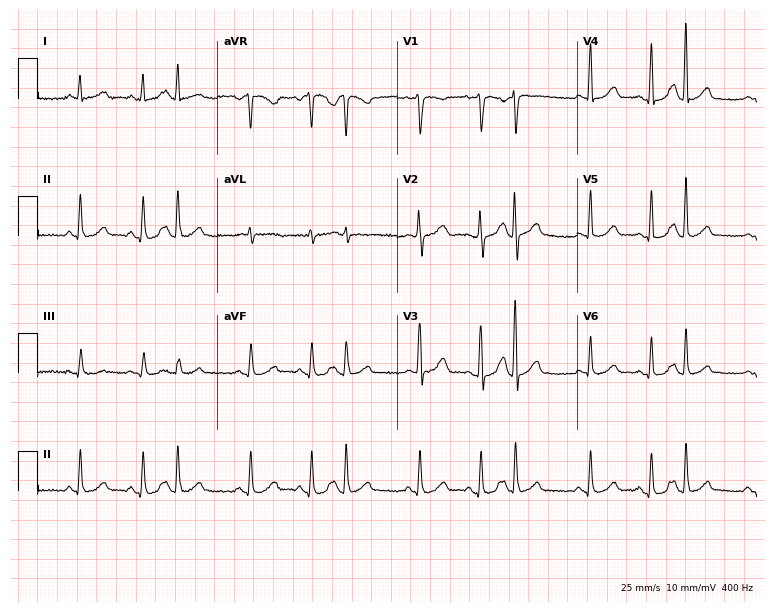
12-lead ECG from a female, 65 years old (7.3-second recording at 400 Hz). No first-degree AV block, right bundle branch block (RBBB), left bundle branch block (LBBB), sinus bradycardia, atrial fibrillation (AF) or sinus tachycardia recorded for this tracing. Other findings, if any, are not listed.